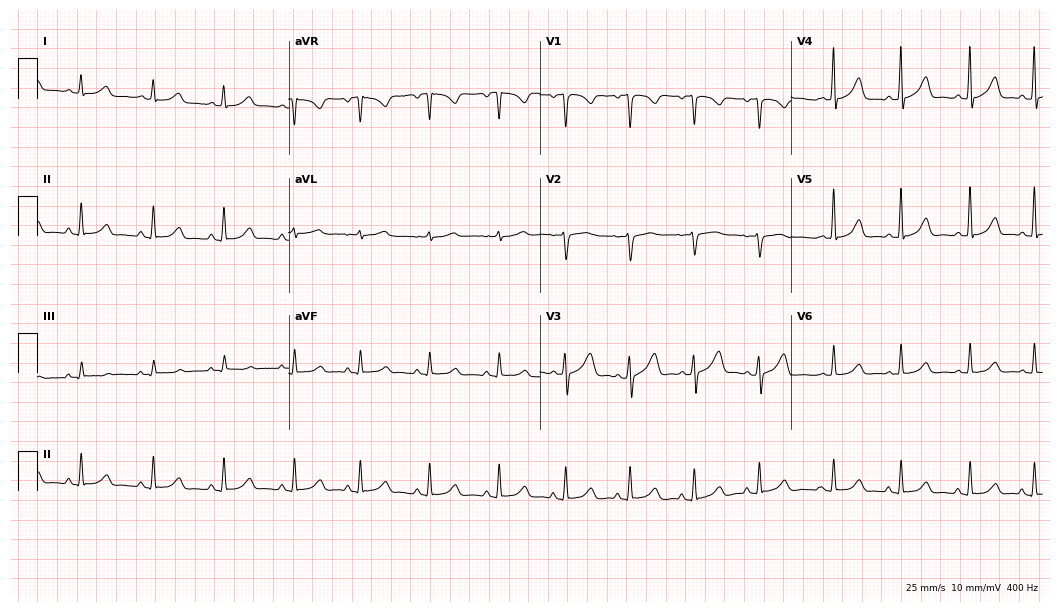
ECG — a female, 36 years old. Screened for six findings — first-degree AV block, right bundle branch block, left bundle branch block, sinus bradycardia, atrial fibrillation, sinus tachycardia — none is recorded.